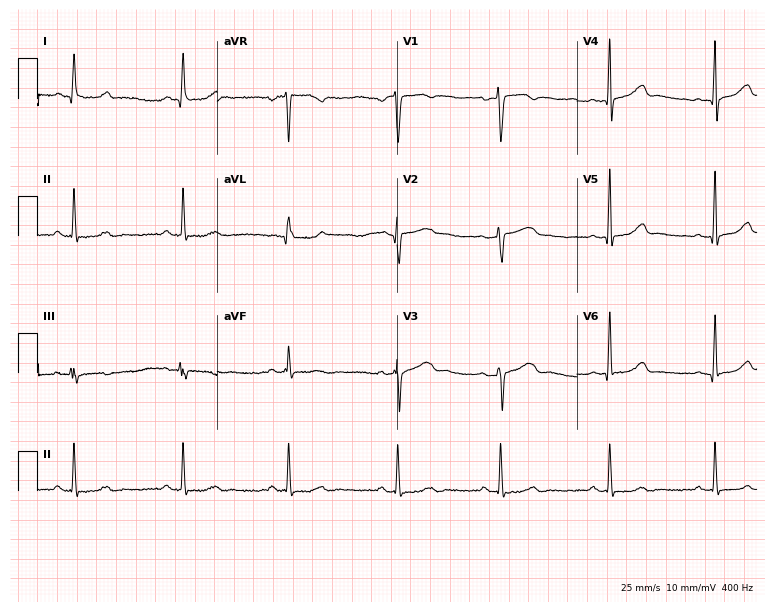
ECG (7.3-second recording at 400 Hz) — a 30-year-old female patient. Screened for six findings — first-degree AV block, right bundle branch block (RBBB), left bundle branch block (LBBB), sinus bradycardia, atrial fibrillation (AF), sinus tachycardia — none is recorded. Only these six findings were labelled.